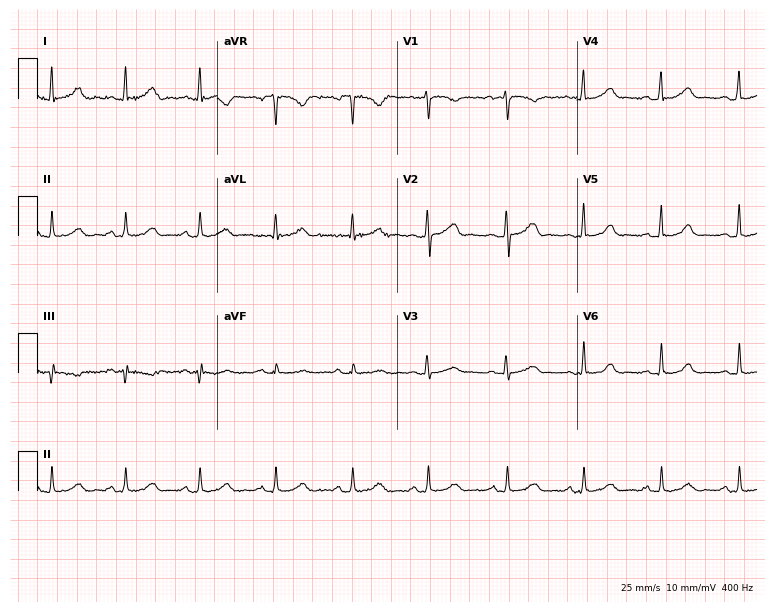
Standard 12-lead ECG recorded from a female, 30 years old (7.3-second recording at 400 Hz). Read as a normal ECG.